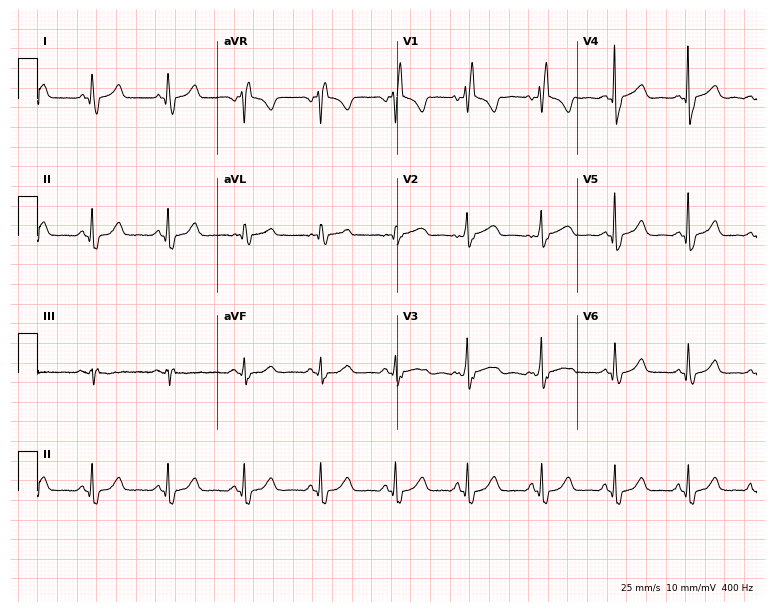
12-lead ECG from a female, 56 years old. Findings include right bundle branch block.